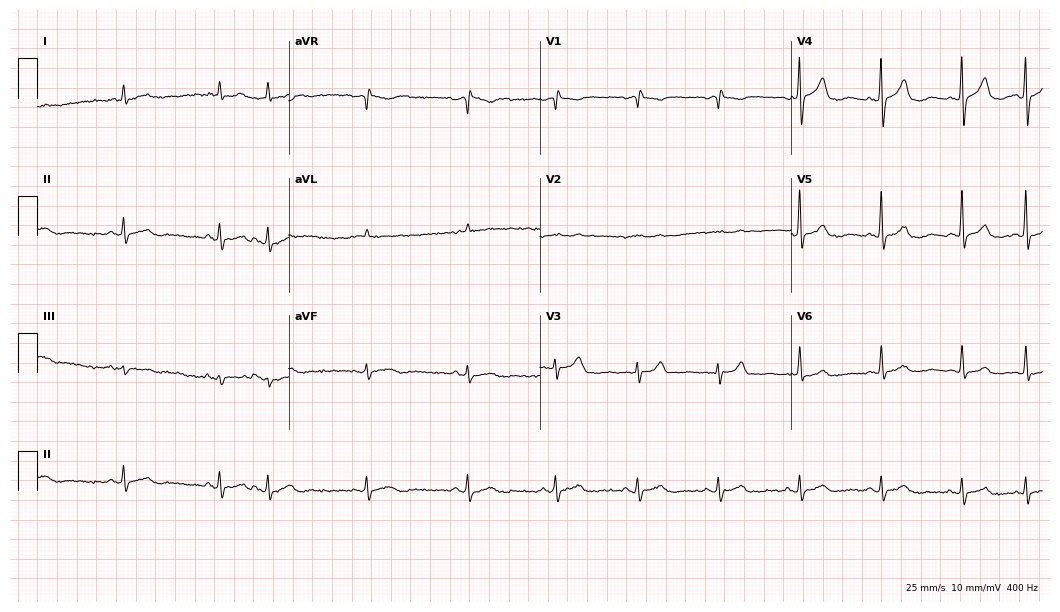
Standard 12-lead ECG recorded from a female, 67 years old. None of these six findings is recorded: first-degree AV block, right bundle branch block, left bundle branch block, sinus bradycardia, atrial fibrillation, sinus tachycardia. Other findings, if any, are not listed.